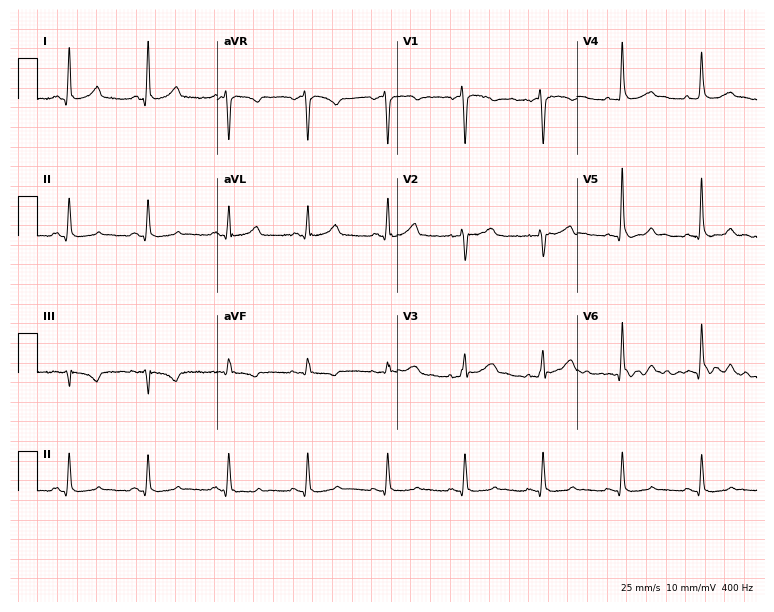
Resting 12-lead electrocardiogram. Patient: a woman, 39 years old. Read as a normal ECG.